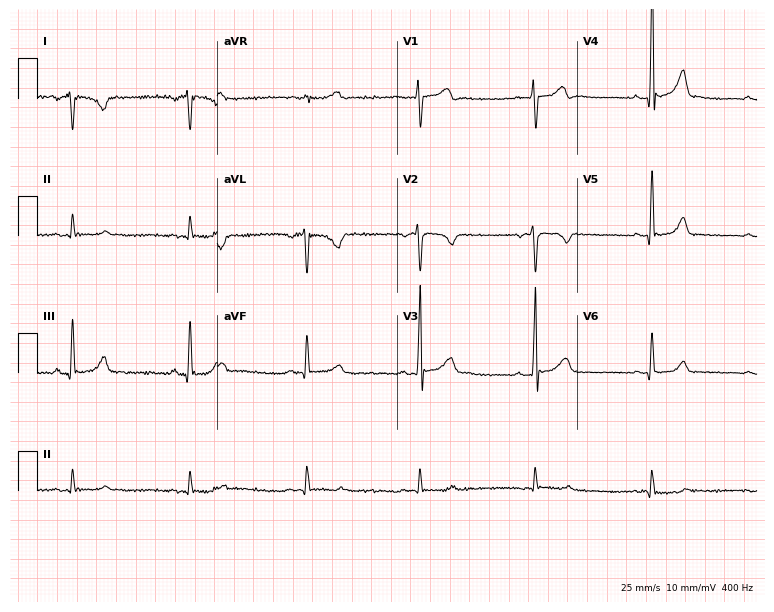
ECG — a 40-year-old male patient. Screened for six findings — first-degree AV block, right bundle branch block (RBBB), left bundle branch block (LBBB), sinus bradycardia, atrial fibrillation (AF), sinus tachycardia — none is recorded. Only these six findings were labelled.